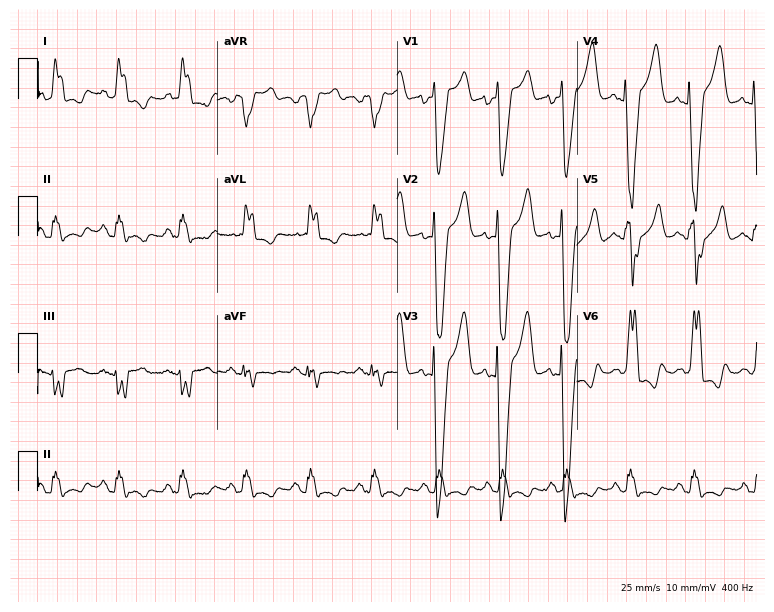
12-lead ECG from a male patient, 50 years old (7.3-second recording at 400 Hz). Shows left bundle branch block.